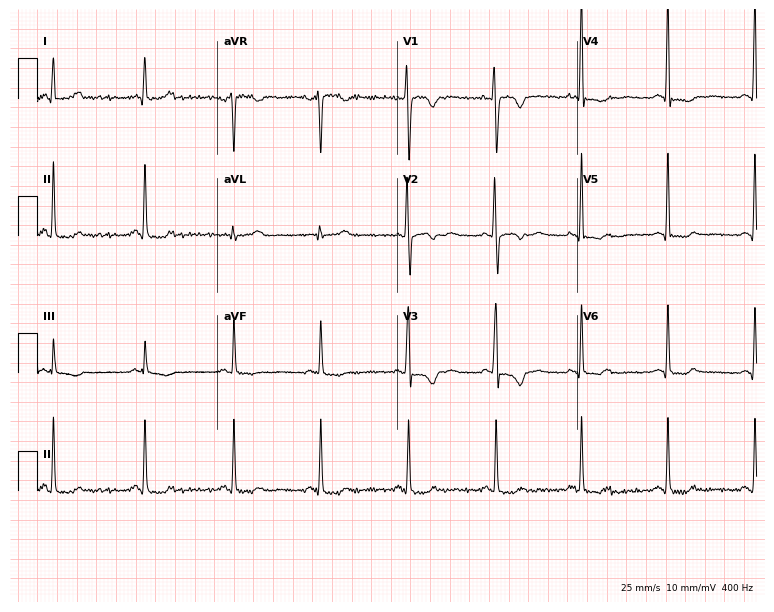
Standard 12-lead ECG recorded from a 32-year-old woman (7.3-second recording at 400 Hz). None of these six findings is recorded: first-degree AV block, right bundle branch block (RBBB), left bundle branch block (LBBB), sinus bradycardia, atrial fibrillation (AF), sinus tachycardia.